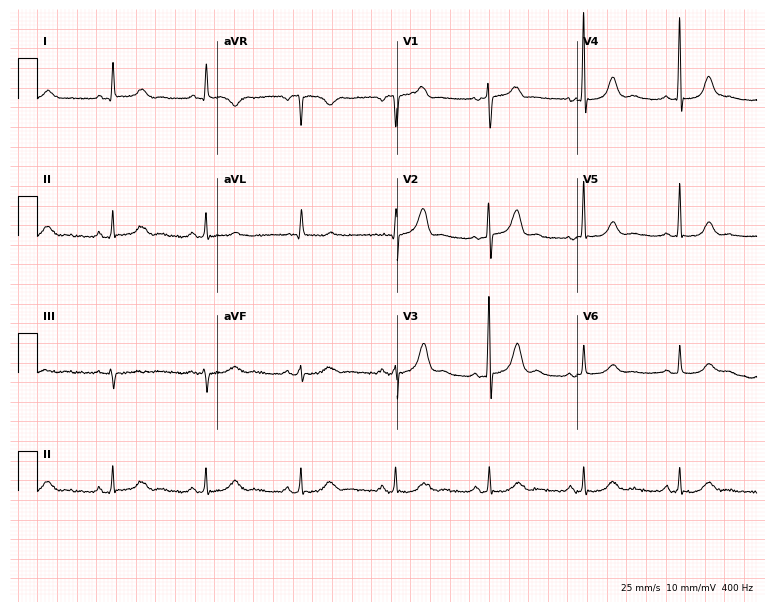
Standard 12-lead ECG recorded from a female patient, 80 years old. Read as a normal ECG.